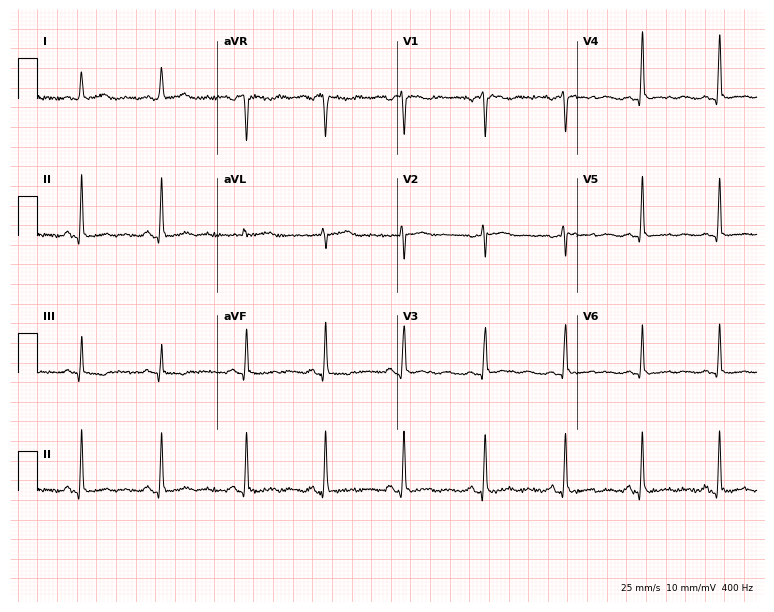
Electrocardiogram (7.3-second recording at 400 Hz), a woman, 41 years old. Of the six screened findings (first-degree AV block, right bundle branch block, left bundle branch block, sinus bradycardia, atrial fibrillation, sinus tachycardia), none is recorded.